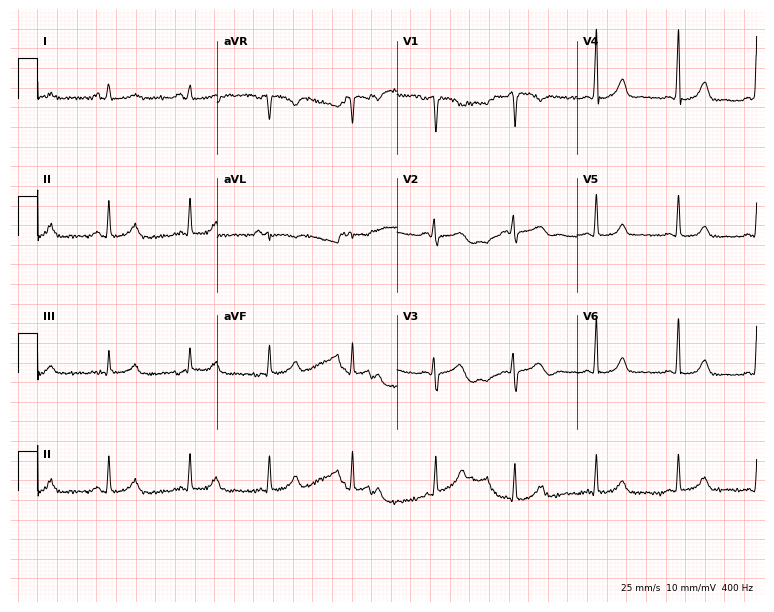
12-lead ECG from a 22-year-old female patient. Screened for six findings — first-degree AV block, right bundle branch block, left bundle branch block, sinus bradycardia, atrial fibrillation, sinus tachycardia — none is recorded. Only these six findings were labelled.